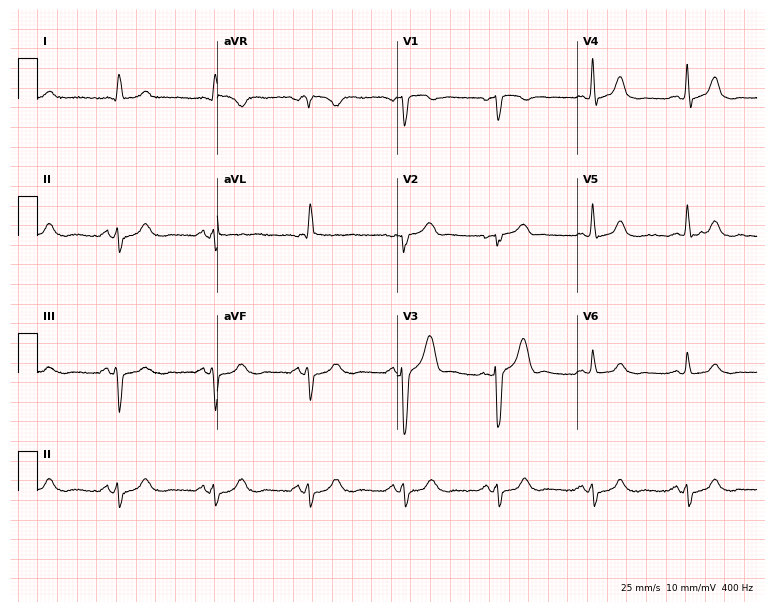
ECG — an 81-year-old male. Screened for six findings — first-degree AV block, right bundle branch block, left bundle branch block, sinus bradycardia, atrial fibrillation, sinus tachycardia — none is recorded.